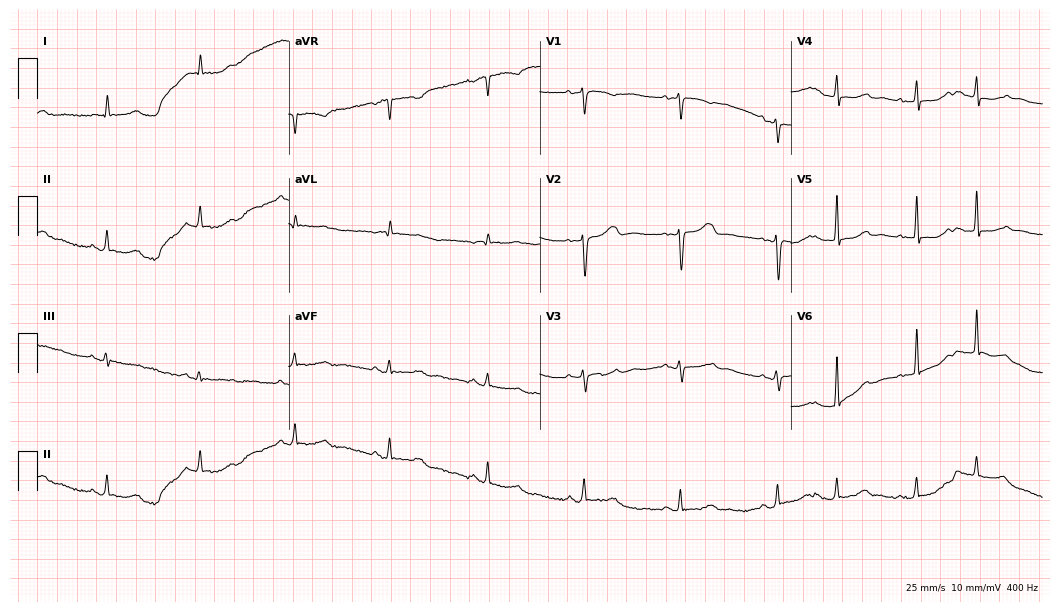
Resting 12-lead electrocardiogram (10.2-second recording at 400 Hz). Patient: a 75-year-old female. Read as a normal ECG.